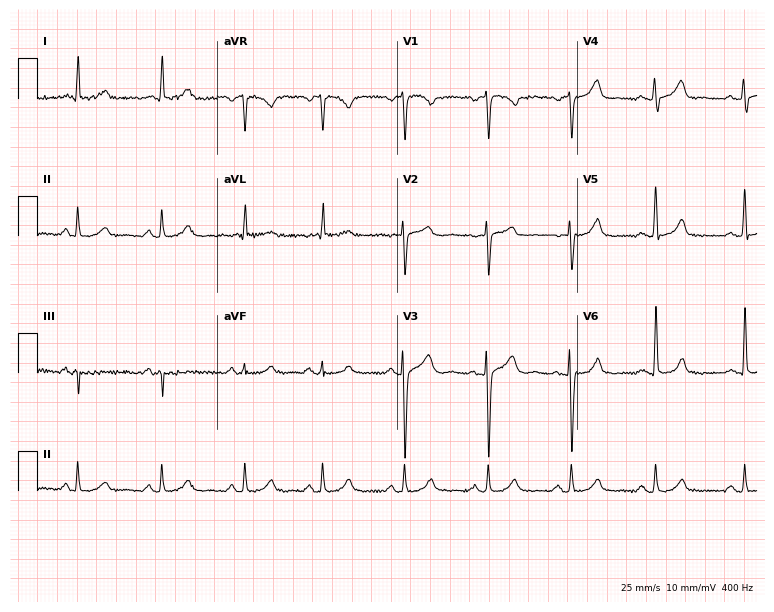
12-lead ECG from a 60-year-old female. Recorded interpretation: within normal limits.